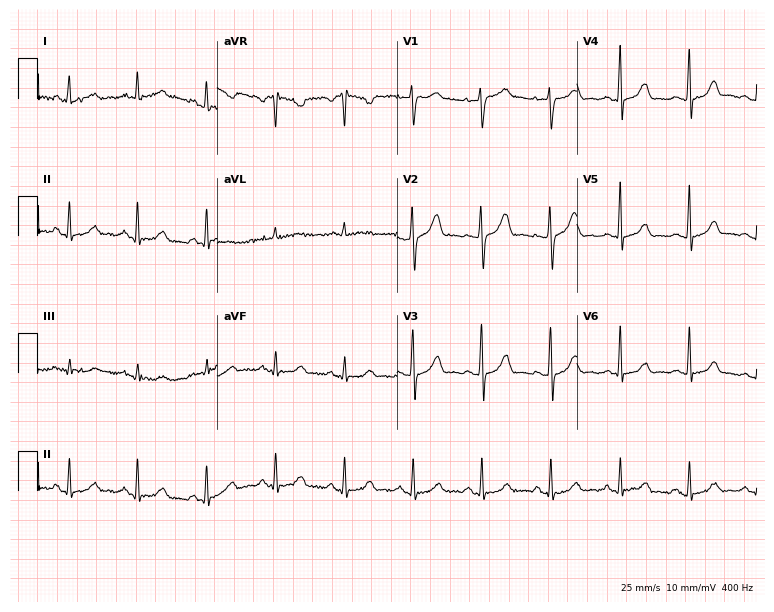
12-lead ECG from a woman, 50 years old (7.3-second recording at 400 Hz). Recorded interpretation: within normal limits.